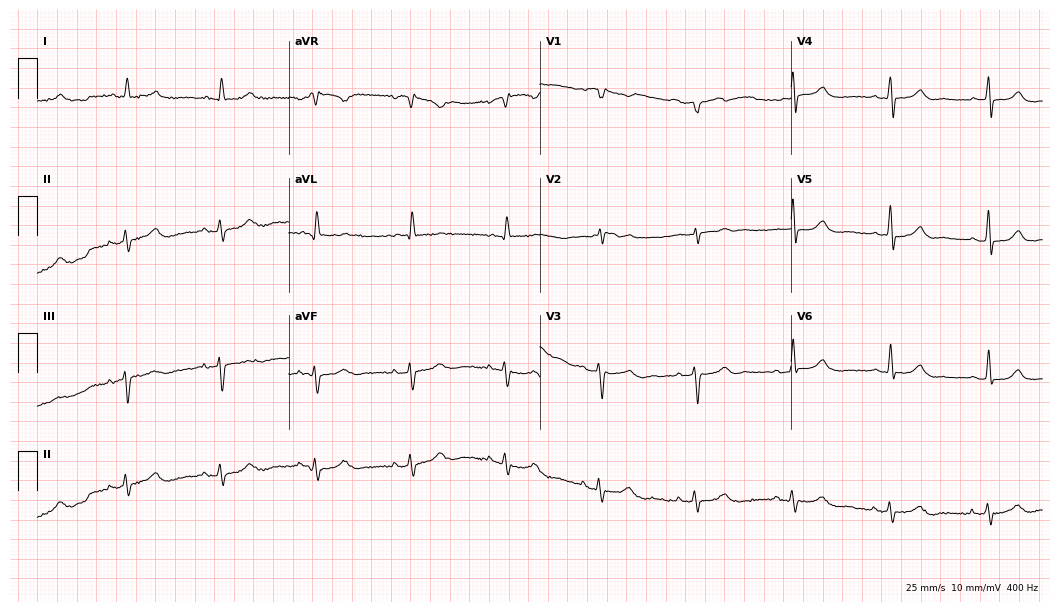
Standard 12-lead ECG recorded from a man, 81 years old. Read as a normal ECG.